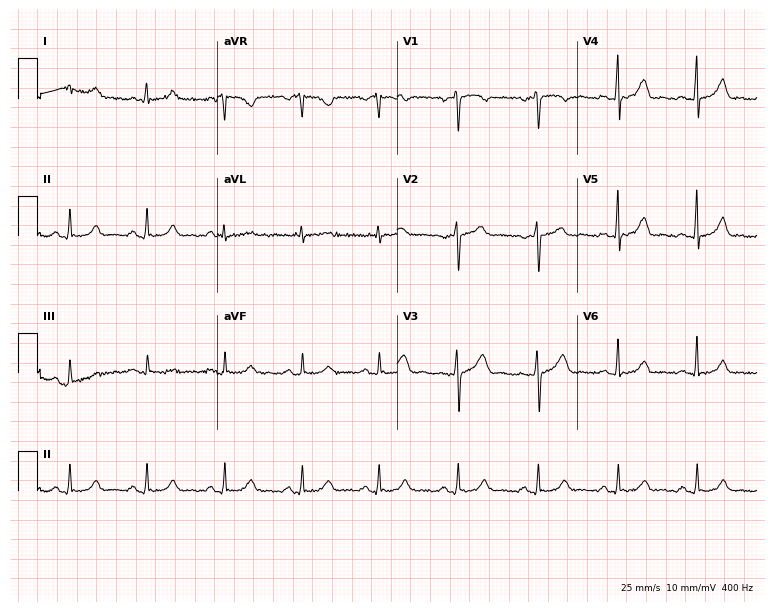
12-lead ECG from a female patient, 38 years old (7.3-second recording at 400 Hz). Recorded interpretation: within normal limits.